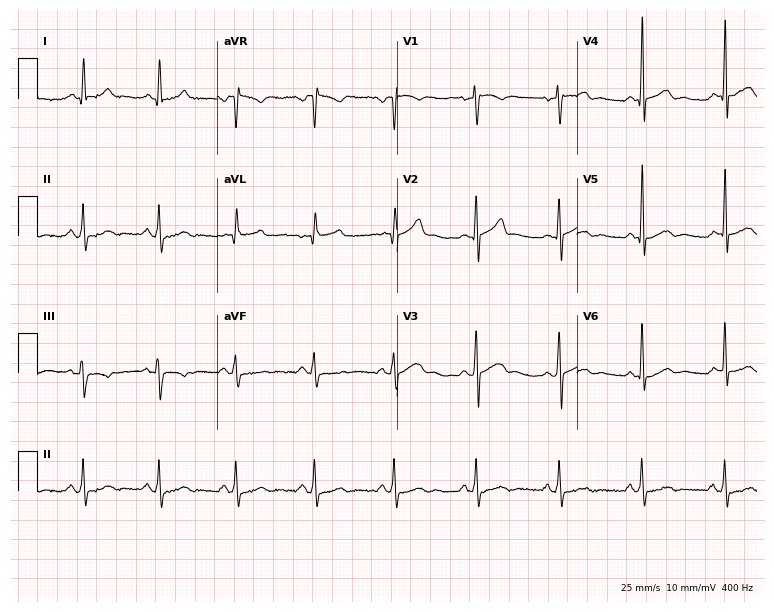
Resting 12-lead electrocardiogram (7.3-second recording at 400 Hz). Patient: a man, 65 years old. None of these six findings is recorded: first-degree AV block, right bundle branch block, left bundle branch block, sinus bradycardia, atrial fibrillation, sinus tachycardia.